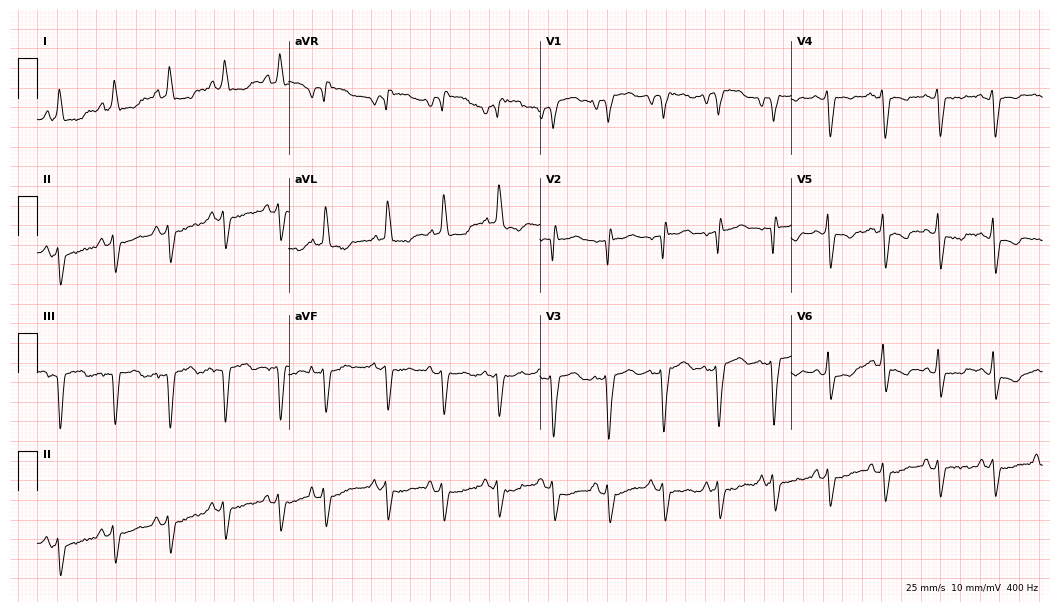
12-lead ECG (10.2-second recording at 400 Hz) from a female patient, 82 years old. Screened for six findings — first-degree AV block, right bundle branch block, left bundle branch block, sinus bradycardia, atrial fibrillation, sinus tachycardia — none is recorded. Only these six findings were labelled.